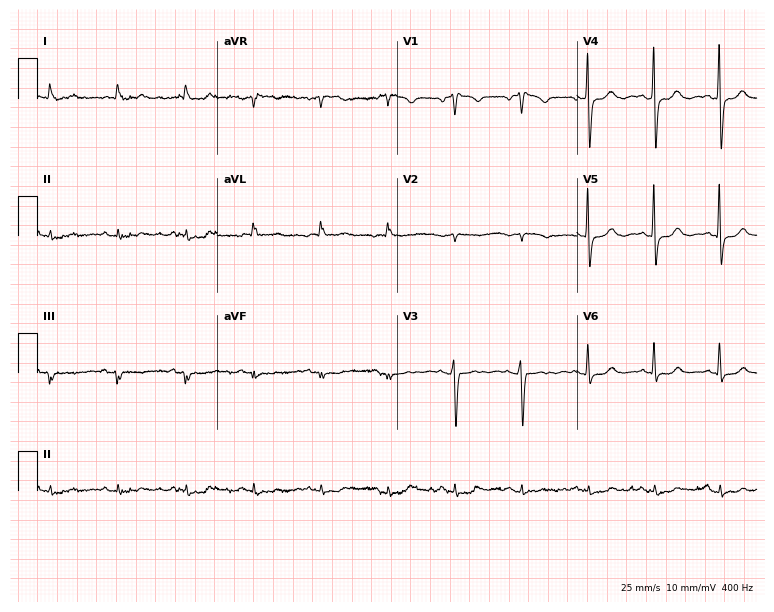
12-lead ECG from a female patient, 73 years old (7.3-second recording at 400 Hz). No first-degree AV block, right bundle branch block (RBBB), left bundle branch block (LBBB), sinus bradycardia, atrial fibrillation (AF) or sinus tachycardia recorded for this tracing.